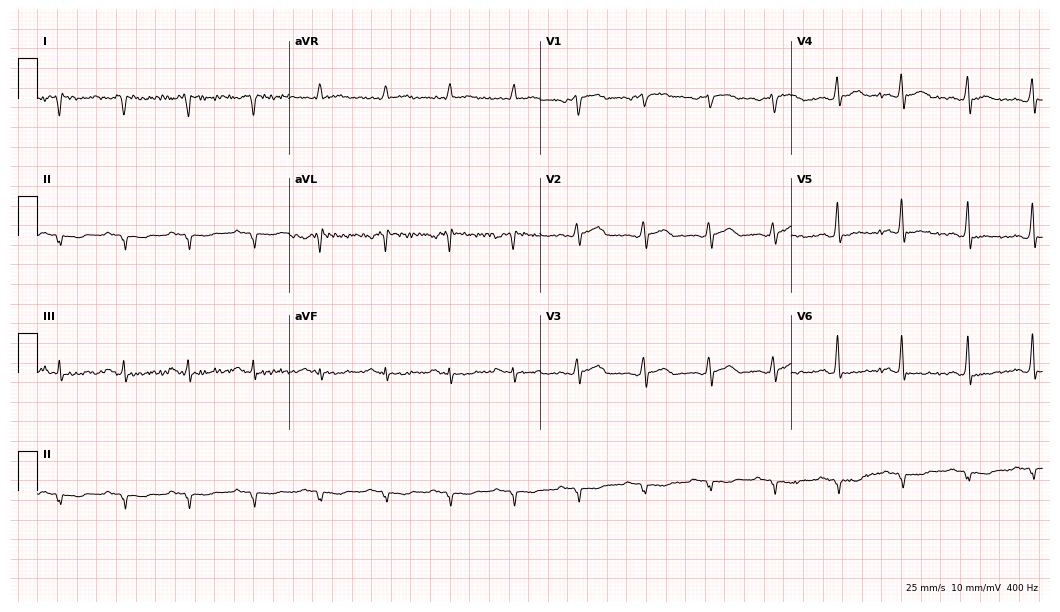
12-lead ECG (10.2-second recording at 400 Hz) from an 80-year-old man. Screened for six findings — first-degree AV block, right bundle branch block (RBBB), left bundle branch block (LBBB), sinus bradycardia, atrial fibrillation (AF), sinus tachycardia — none is recorded.